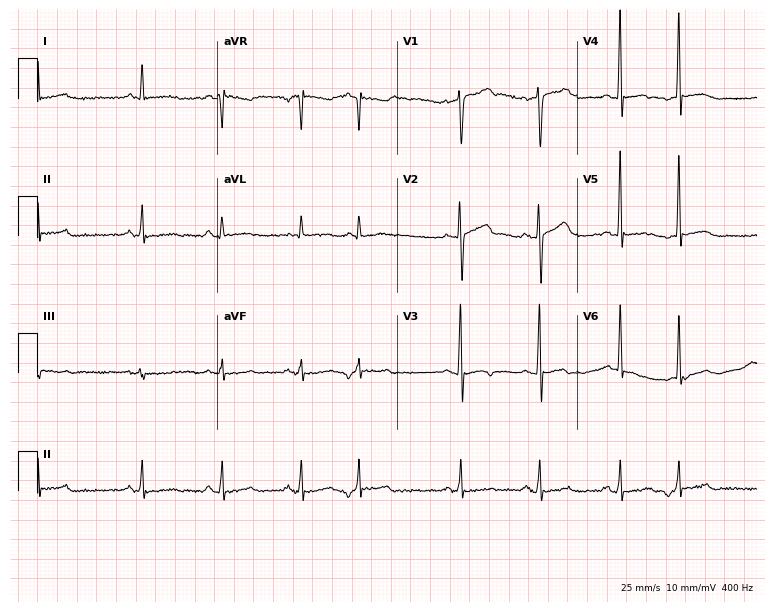
12-lead ECG from a 42-year-old man. Screened for six findings — first-degree AV block, right bundle branch block, left bundle branch block, sinus bradycardia, atrial fibrillation, sinus tachycardia — none is recorded. Findings outside these six are not listed.